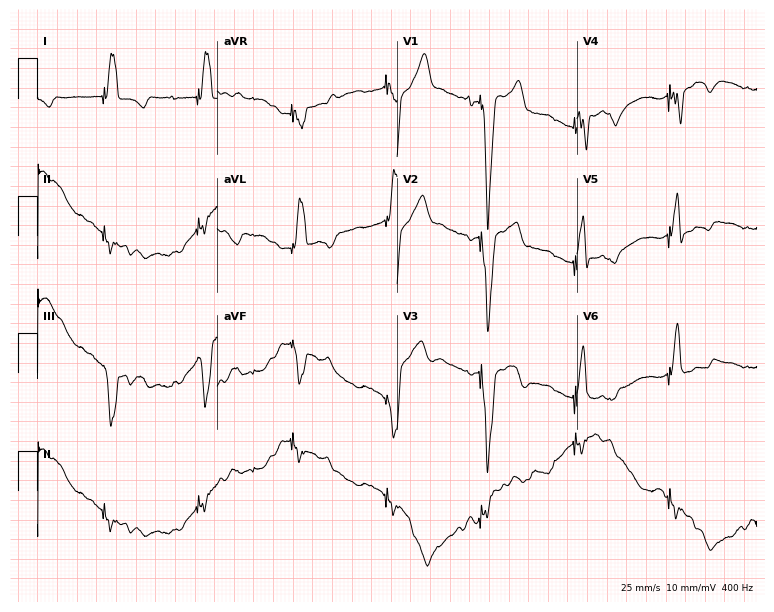
Resting 12-lead electrocardiogram. Patient: a male, 18 years old. None of these six findings is recorded: first-degree AV block, right bundle branch block, left bundle branch block, sinus bradycardia, atrial fibrillation, sinus tachycardia.